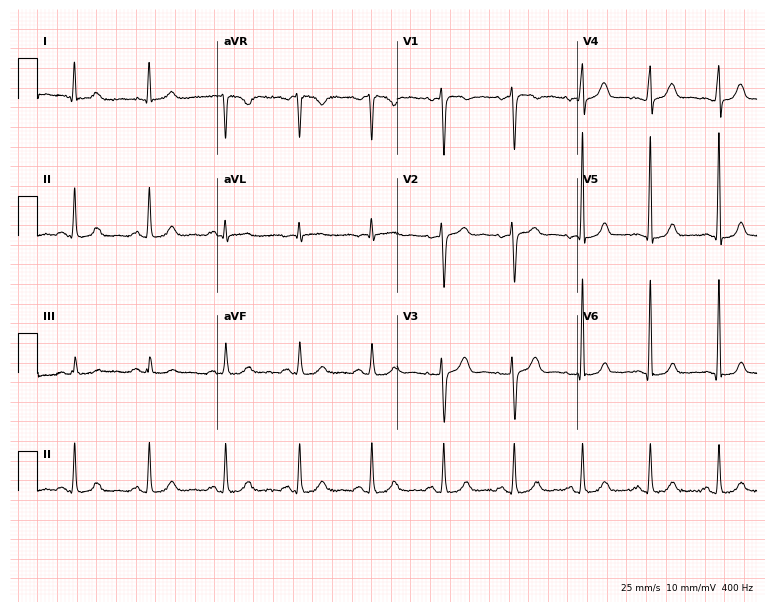
Standard 12-lead ECG recorded from a 39-year-old woman. None of these six findings is recorded: first-degree AV block, right bundle branch block, left bundle branch block, sinus bradycardia, atrial fibrillation, sinus tachycardia. Other findings, if any, are not listed.